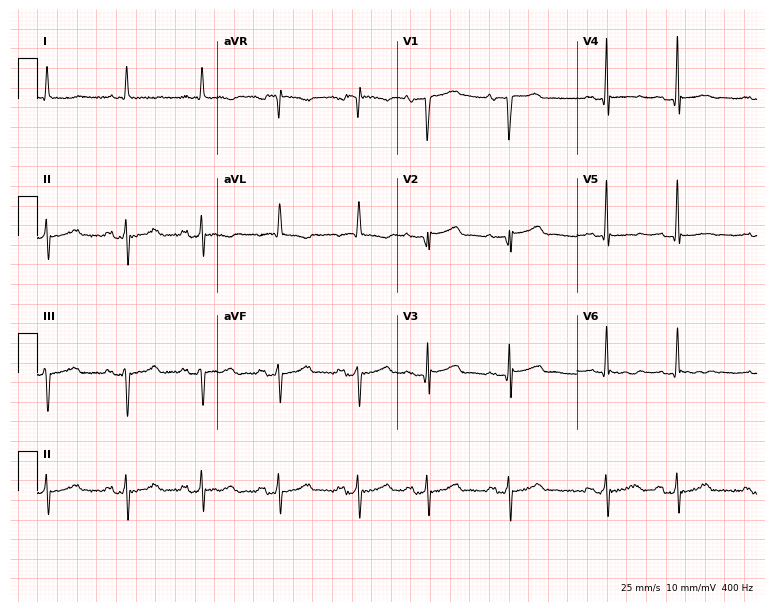
ECG — a female, 85 years old. Screened for six findings — first-degree AV block, right bundle branch block, left bundle branch block, sinus bradycardia, atrial fibrillation, sinus tachycardia — none is recorded.